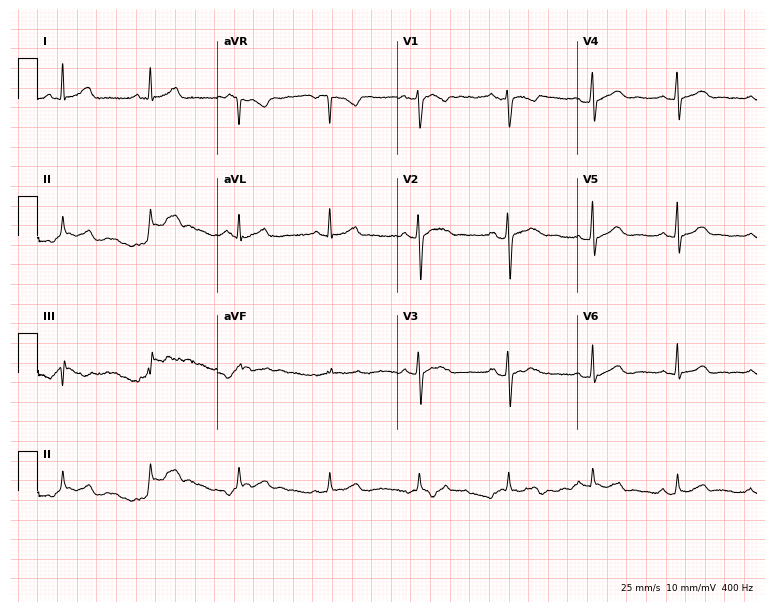
Electrocardiogram, a 32-year-old female patient. Of the six screened findings (first-degree AV block, right bundle branch block, left bundle branch block, sinus bradycardia, atrial fibrillation, sinus tachycardia), none is recorded. Findings outside these six are not listed.